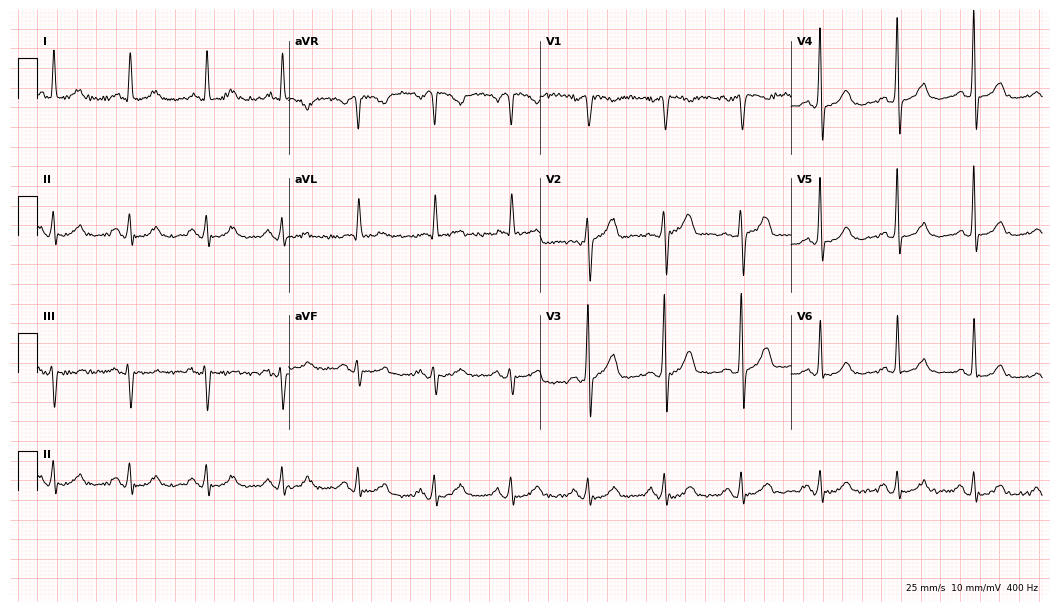
Standard 12-lead ECG recorded from a female, 71 years old. Read as a normal ECG.